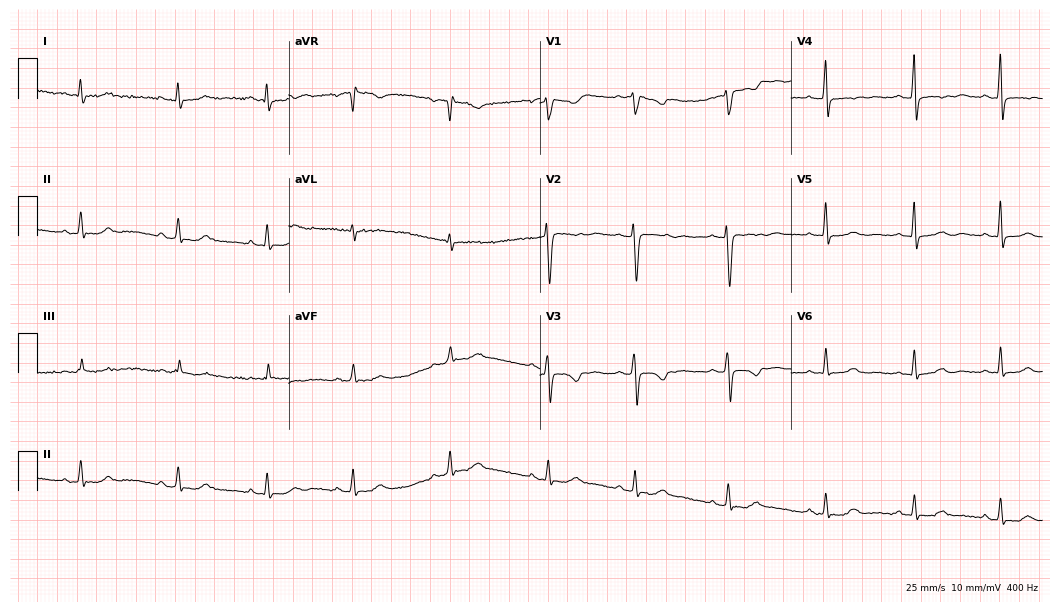
12-lead ECG from a female, 22 years old. Recorded interpretation: within normal limits.